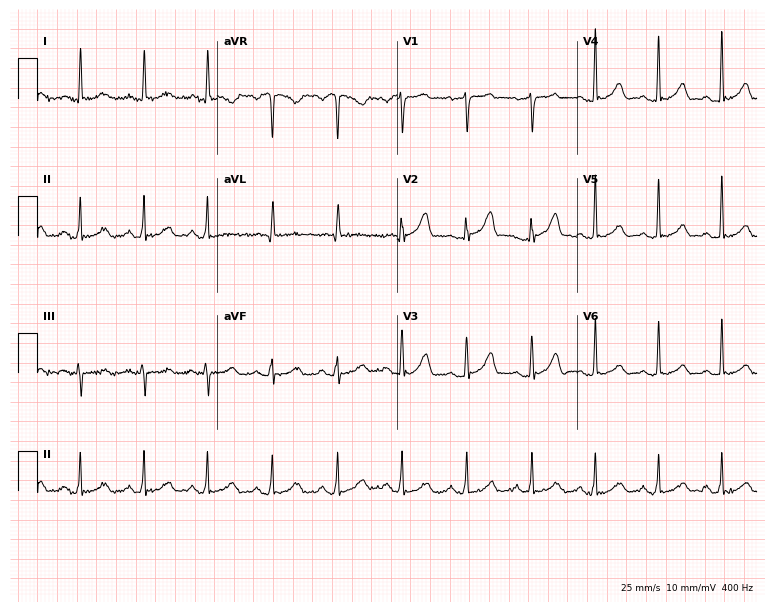
Resting 12-lead electrocardiogram. Patient: a female, 51 years old. None of these six findings is recorded: first-degree AV block, right bundle branch block, left bundle branch block, sinus bradycardia, atrial fibrillation, sinus tachycardia.